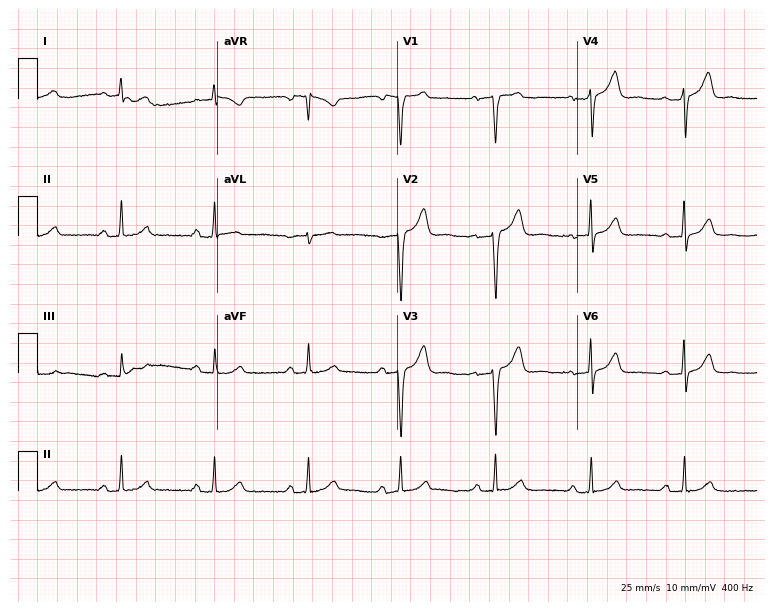
ECG (7.3-second recording at 400 Hz) — a man, 73 years old. Screened for six findings — first-degree AV block, right bundle branch block, left bundle branch block, sinus bradycardia, atrial fibrillation, sinus tachycardia — none is recorded.